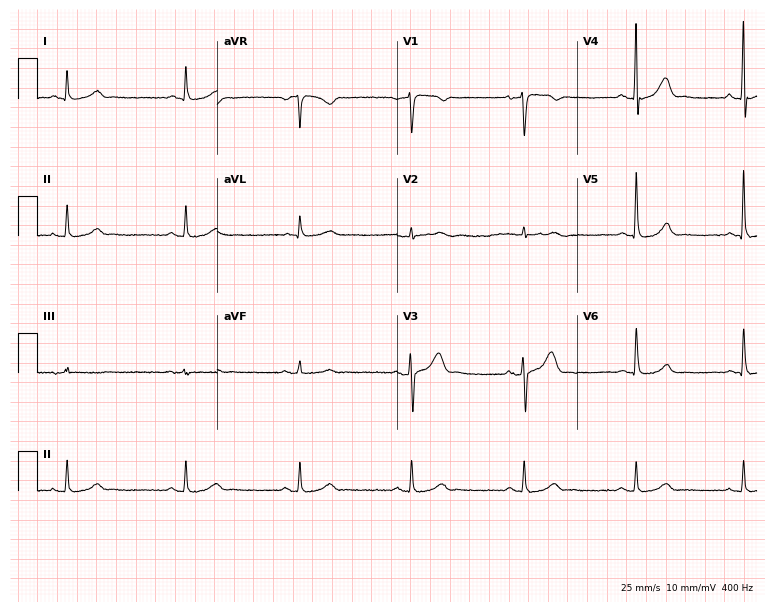
ECG — a man, 59 years old. Labelled as a normal ECG.